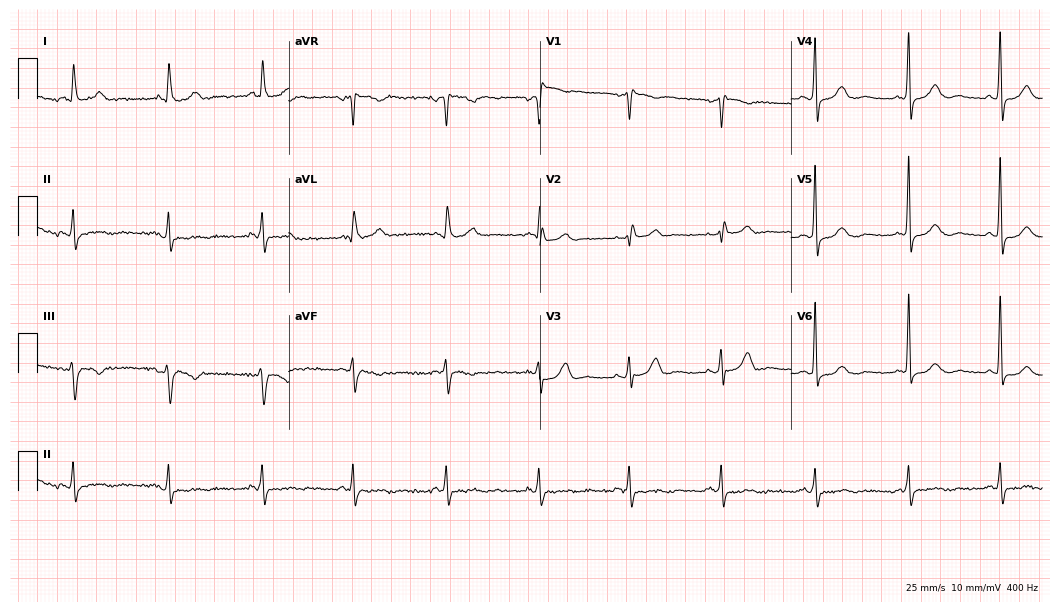
Resting 12-lead electrocardiogram (10.2-second recording at 400 Hz). Patient: a 67-year-old man. None of these six findings is recorded: first-degree AV block, right bundle branch block, left bundle branch block, sinus bradycardia, atrial fibrillation, sinus tachycardia. Other findings, if any, are not listed.